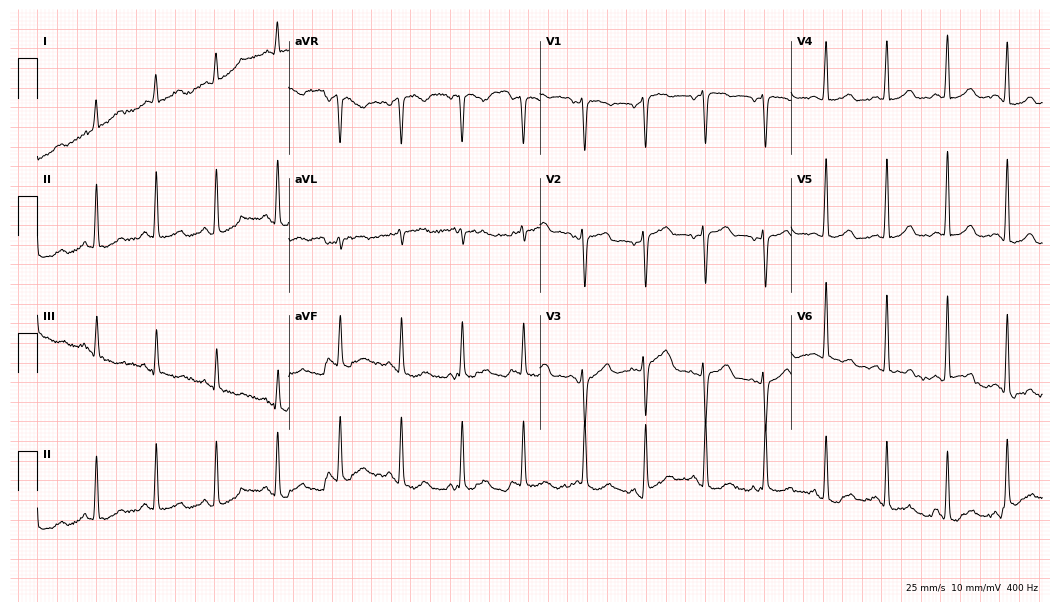
Standard 12-lead ECG recorded from a female, 55 years old (10.2-second recording at 400 Hz). None of these six findings is recorded: first-degree AV block, right bundle branch block (RBBB), left bundle branch block (LBBB), sinus bradycardia, atrial fibrillation (AF), sinus tachycardia.